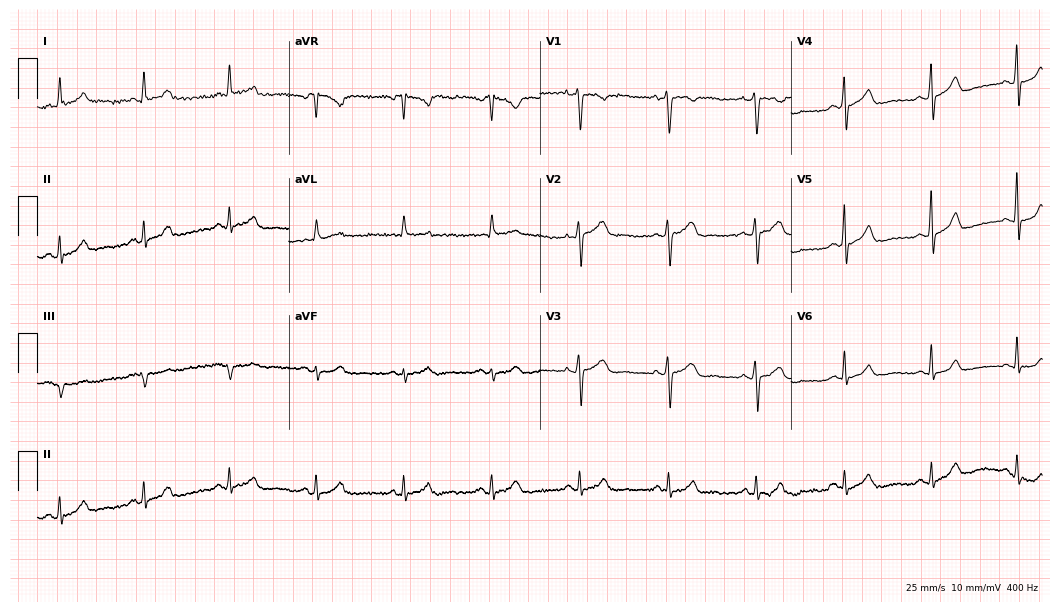
Electrocardiogram, a female, 50 years old. Overall reading on record: normal ECG.